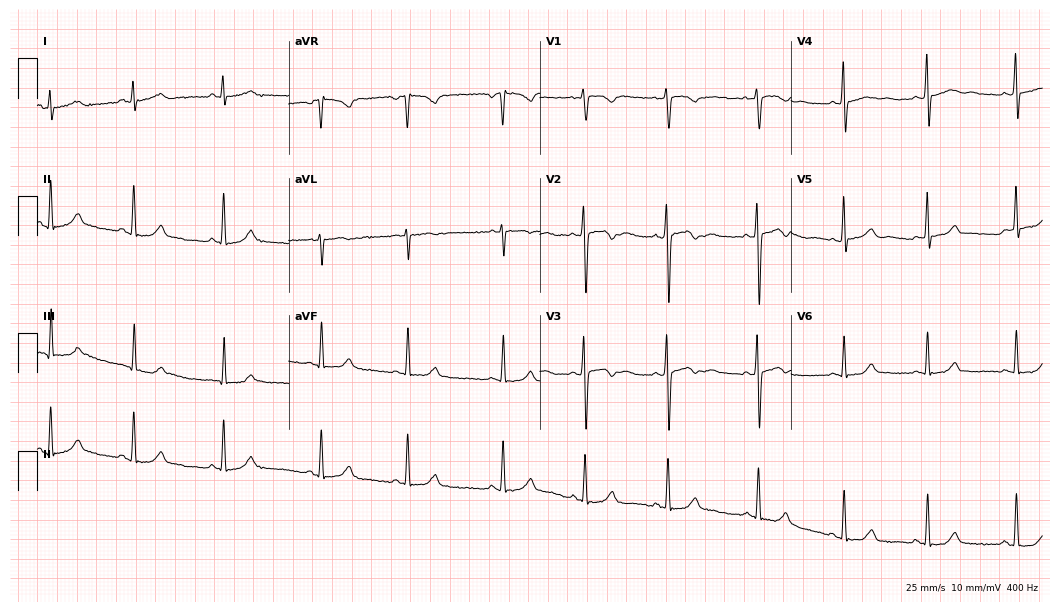
ECG (10.2-second recording at 400 Hz) — a female patient, 18 years old. Labelled as a normal ECG.